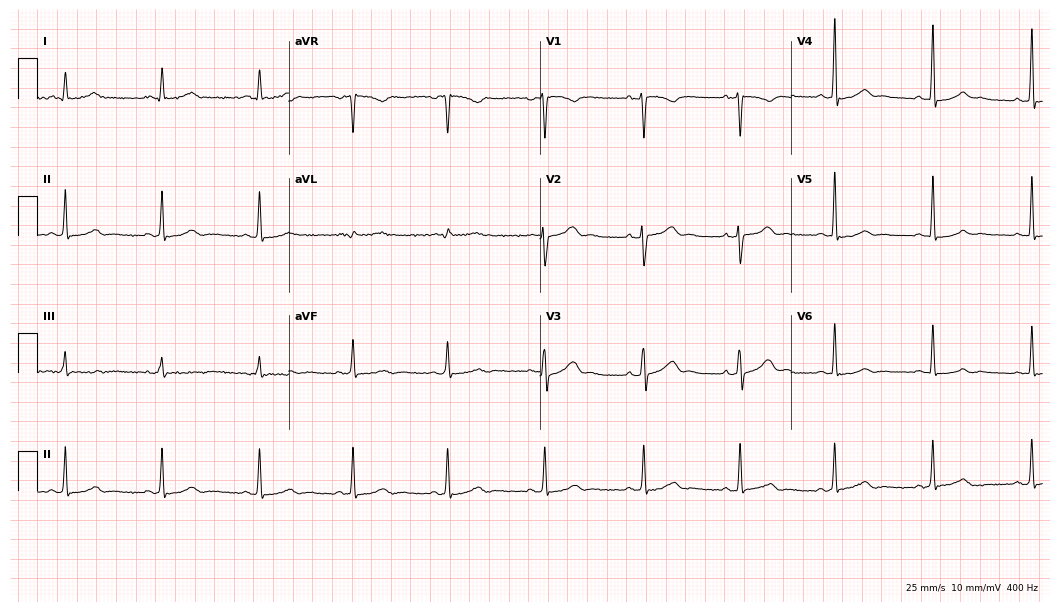
Standard 12-lead ECG recorded from a female patient, 45 years old. None of these six findings is recorded: first-degree AV block, right bundle branch block, left bundle branch block, sinus bradycardia, atrial fibrillation, sinus tachycardia. Only these six findings were labelled.